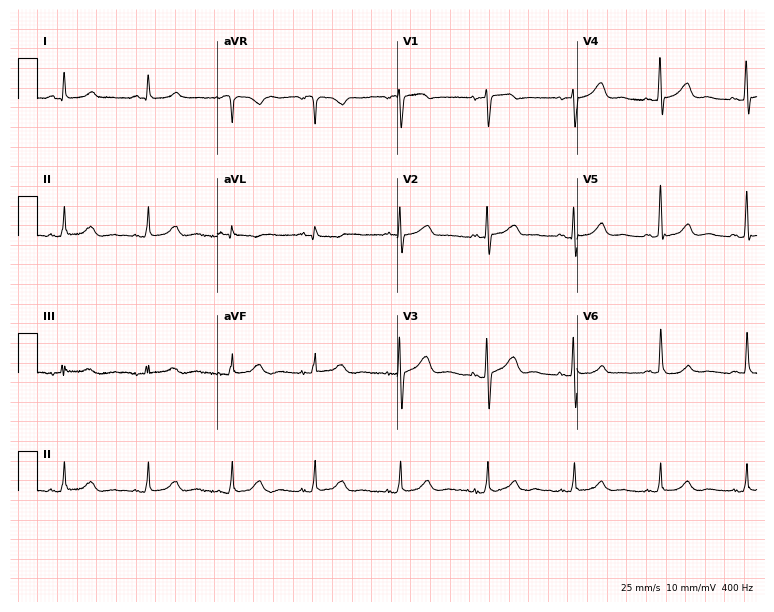
Electrocardiogram, a female, 59 years old. Of the six screened findings (first-degree AV block, right bundle branch block, left bundle branch block, sinus bradycardia, atrial fibrillation, sinus tachycardia), none is recorded.